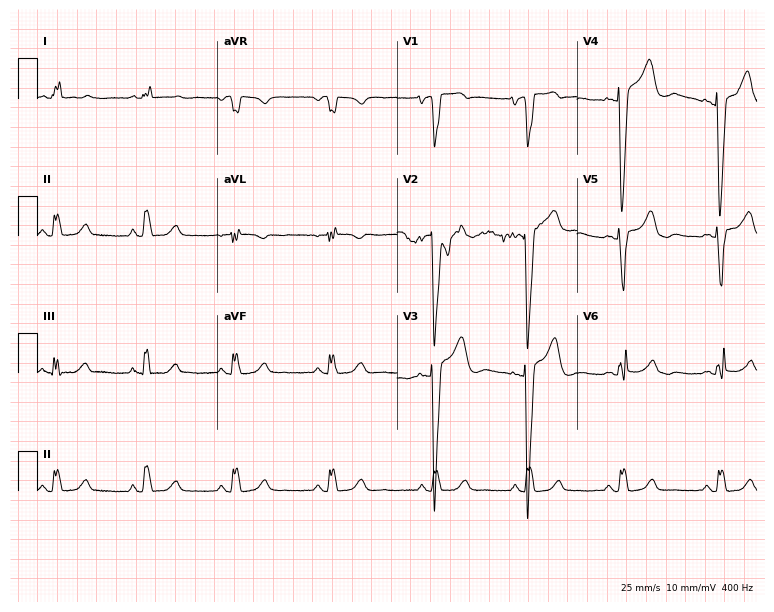
Resting 12-lead electrocardiogram. Patient: an 80-year-old female. None of these six findings is recorded: first-degree AV block, right bundle branch block, left bundle branch block, sinus bradycardia, atrial fibrillation, sinus tachycardia.